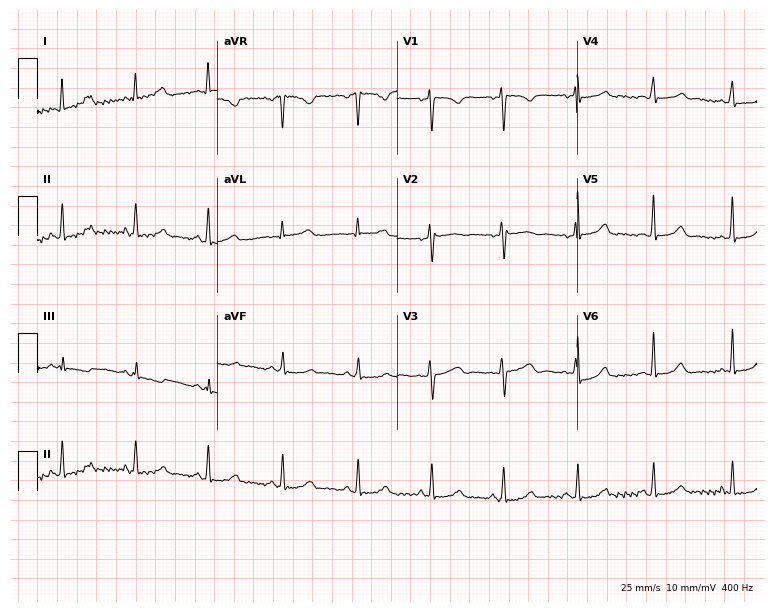
Standard 12-lead ECG recorded from a woman, 38 years old (7.3-second recording at 400 Hz). None of these six findings is recorded: first-degree AV block, right bundle branch block (RBBB), left bundle branch block (LBBB), sinus bradycardia, atrial fibrillation (AF), sinus tachycardia.